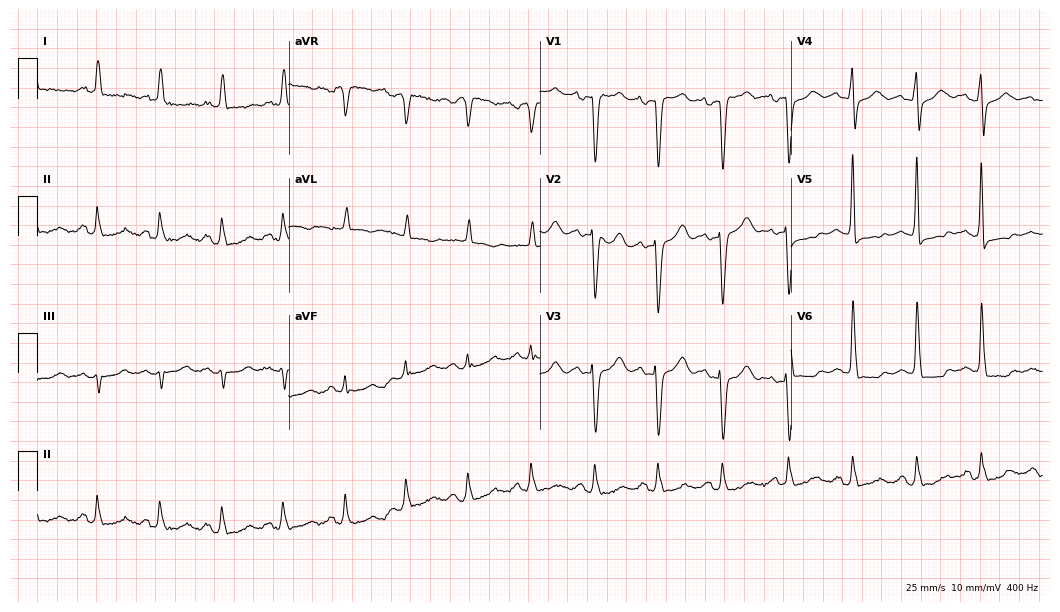
Electrocardiogram, a 66-year-old woman. Of the six screened findings (first-degree AV block, right bundle branch block, left bundle branch block, sinus bradycardia, atrial fibrillation, sinus tachycardia), none is recorded. Findings outside these six are not listed.